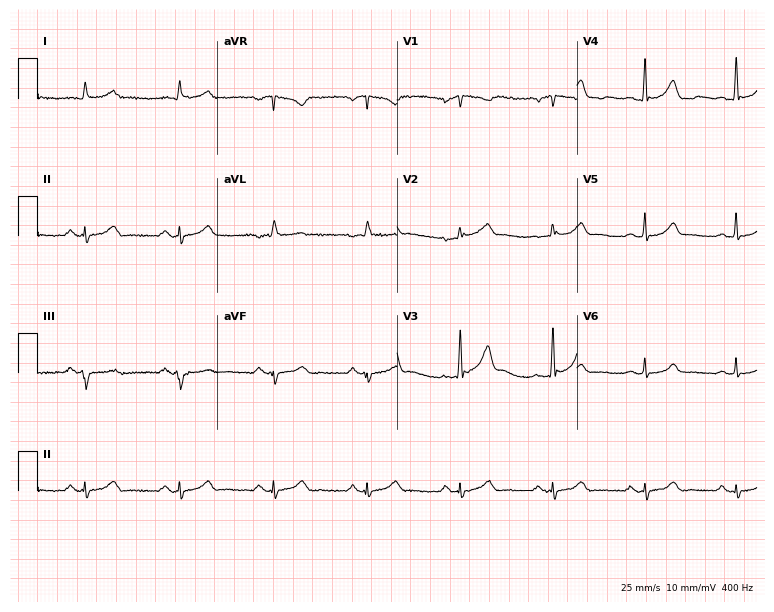
12-lead ECG from a 63-year-old man. Screened for six findings — first-degree AV block, right bundle branch block (RBBB), left bundle branch block (LBBB), sinus bradycardia, atrial fibrillation (AF), sinus tachycardia — none is recorded. Only these six findings were labelled.